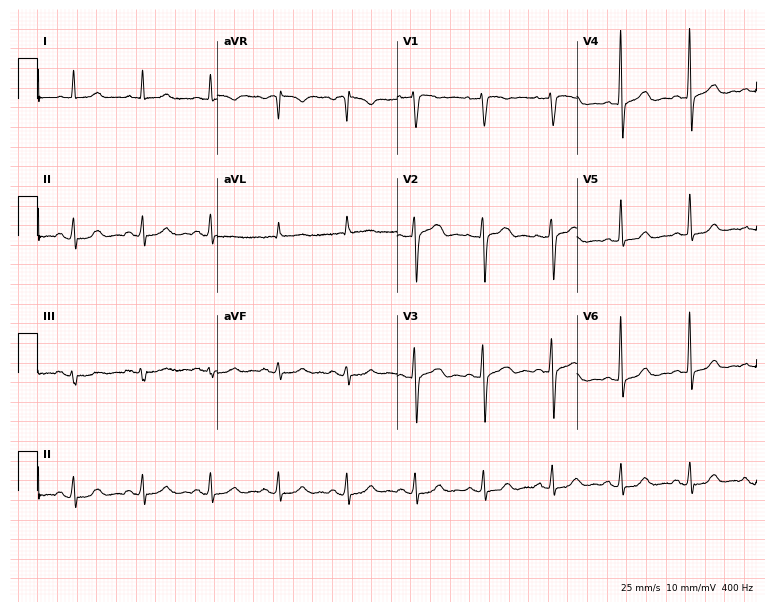
ECG — a male, 63 years old. Labelled as a normal ECG.